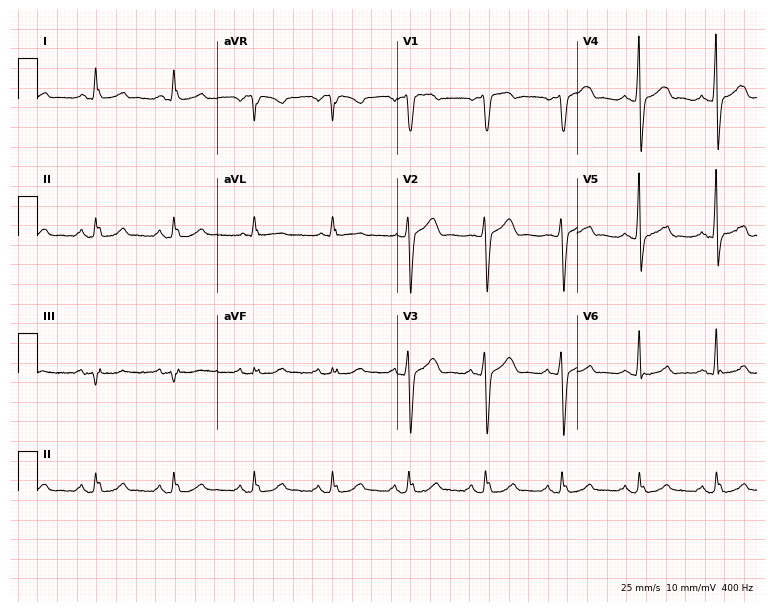
ECG (7.3-second recording at 400 Hz) — a 47-year-old man. Findings include atrial fibrillation.